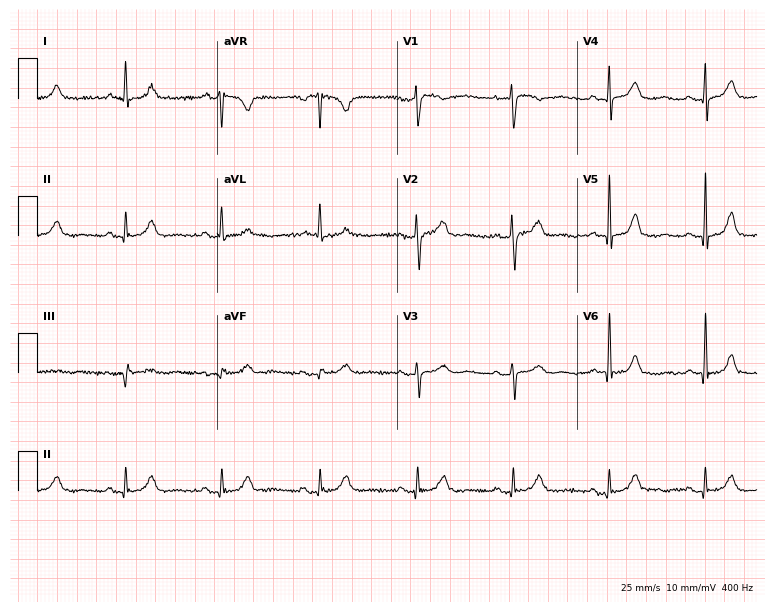
12-lead ECG from a woman, 62 years old (7.3-second recording at 400 Hz). No first-degree AV block, right bundle branch block, left bundle branch block, sinus bradycardia, atrial fibrillation or sinus tachycardia recorded for this tracing. Only these six findings were labelled.